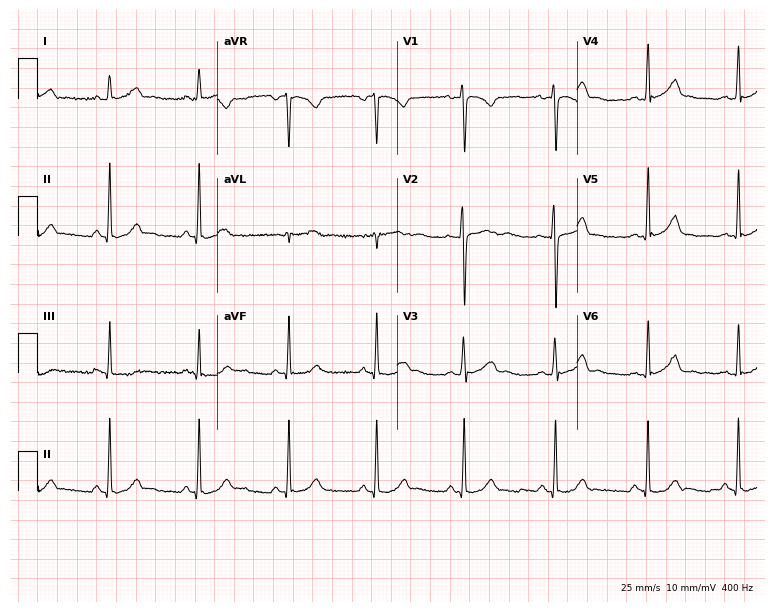
12-lead ECG from a female patient, 28 years old (7.3-second recording at 400 Hz). Recorded interpretation: within normal limits.